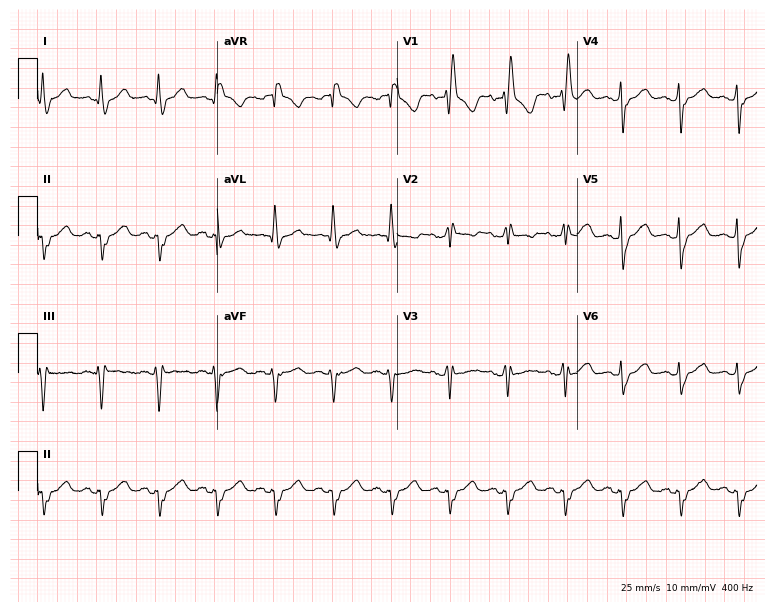
ECG — a man, 78 years old. Findings include right bundle branch block (RBBB), sinus tachycardia (a sinus rate of 100 beats per minute or more).